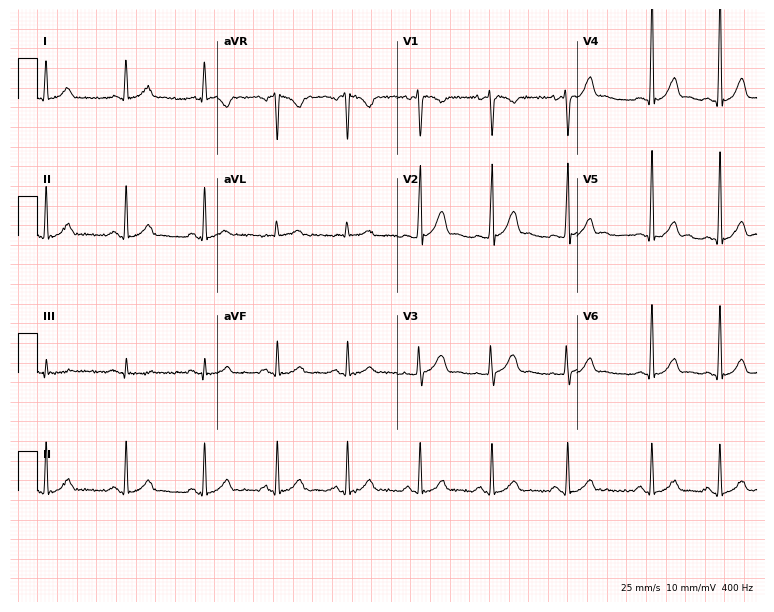
Resting 12-lead electrocardiogram. Patient: an 18-year-old female. Read as a normal ECG.